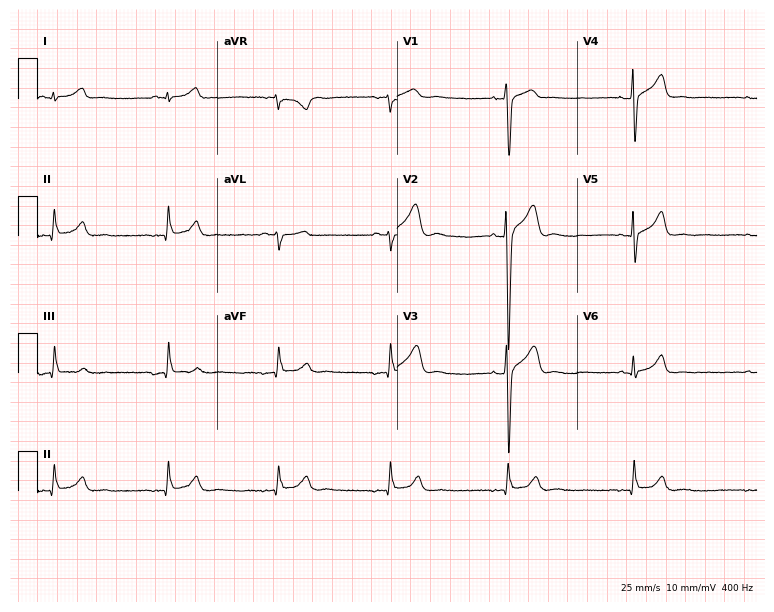
12-lead ECG from a man, 29 years old. Labelled as a normal ECG.